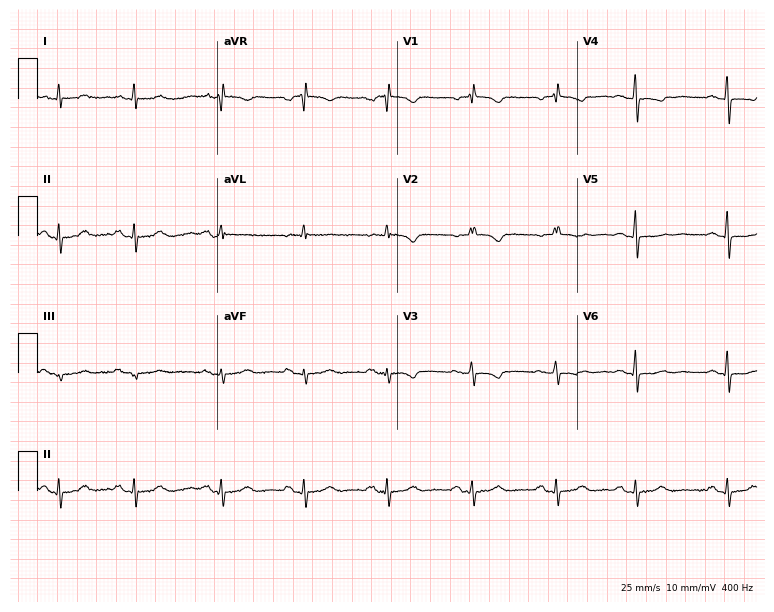
Resting 12-lead electrocardiogram. Patient: a man, 61 years old. None of these six findings is recorded: first-degree AV block, right bundle branch block (RBBB), left bundle branch block (LBBB), sinus bradycardia, atrial fibrillation (AF), sinus tachycardia.